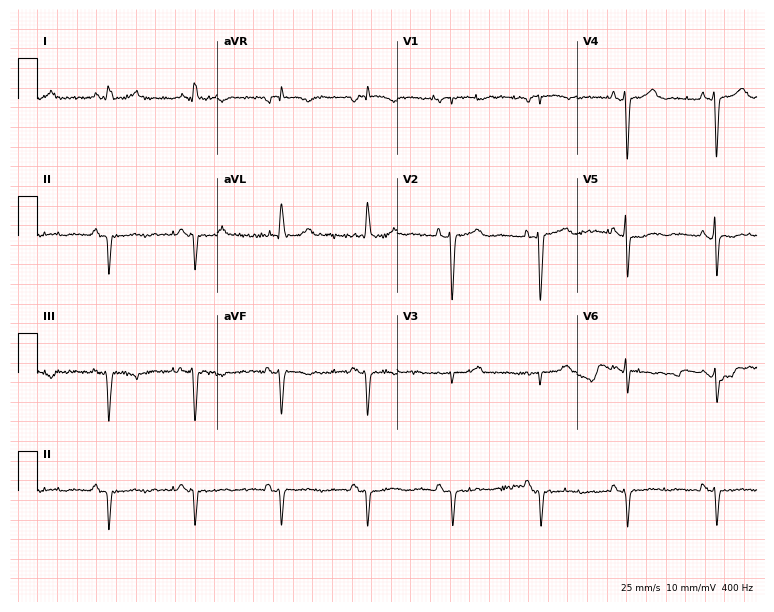
12-lead ECG from a 72-year-old female (7.3-second recording at 400 Hz). No first-degree AV block, right bundle branch block (RBBB), left bundle branch block (LBBB), sinus bradycardia, atrial fibrillation (AF) or sinus tachycardia recorded for this tracing. Only these six findings were labelled.